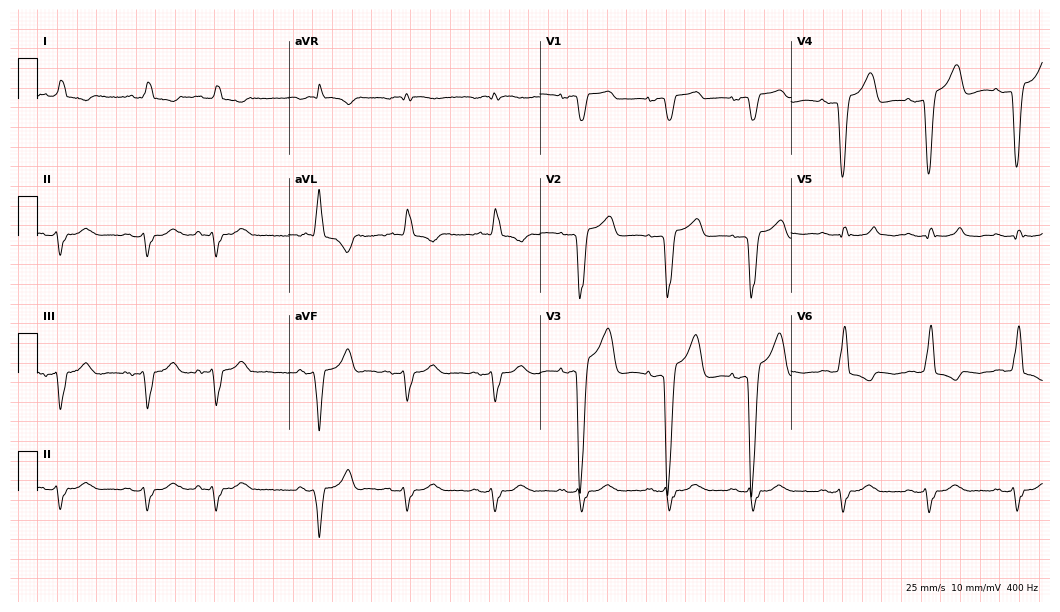
Resting 12-lead electrocardiogram. Patient: a 79-year-old man. The tracing shows left bundle branch block, atrial fibrillation.